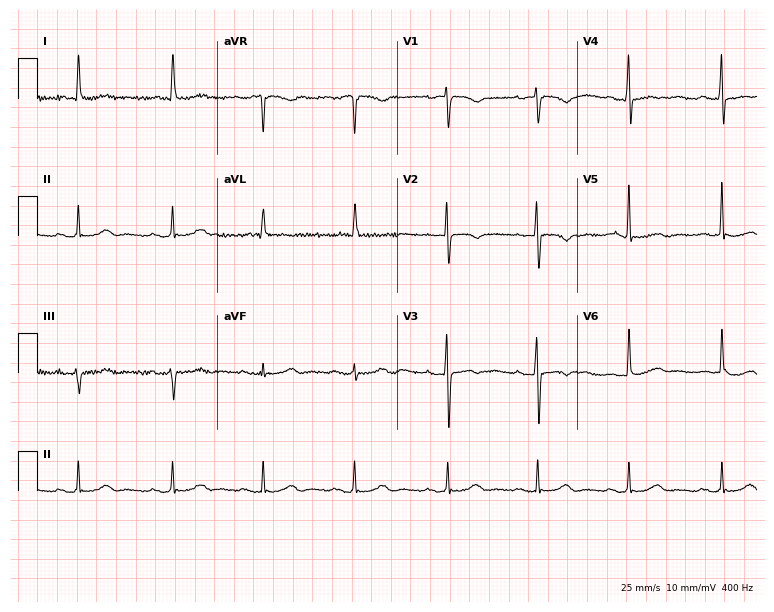
Electrocardiogram (7.3-second recording at 400 Hz), a female, 84 years old. Of the six screened findings (first-degree AV block, right bundle branch block, left bundle branch block, sinus bradycardia, atrial fibrillation, sinus tachycardia), none is recorded.